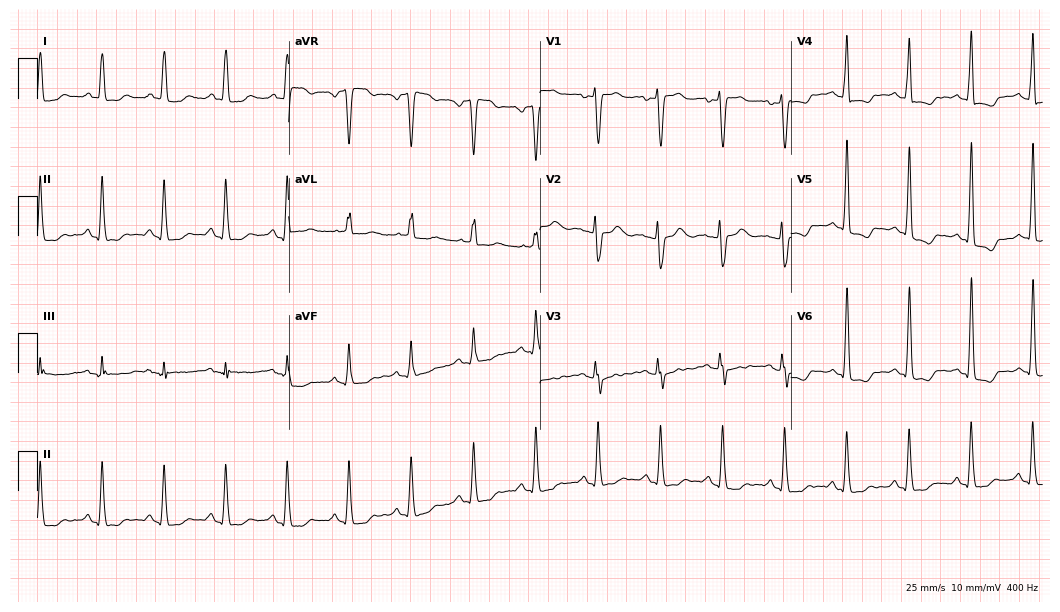
Resting 12-lead electrocardiogram (10.2-second recording at 400 Hz). Patient: a 64-year-old female. Read as a normal ECG.